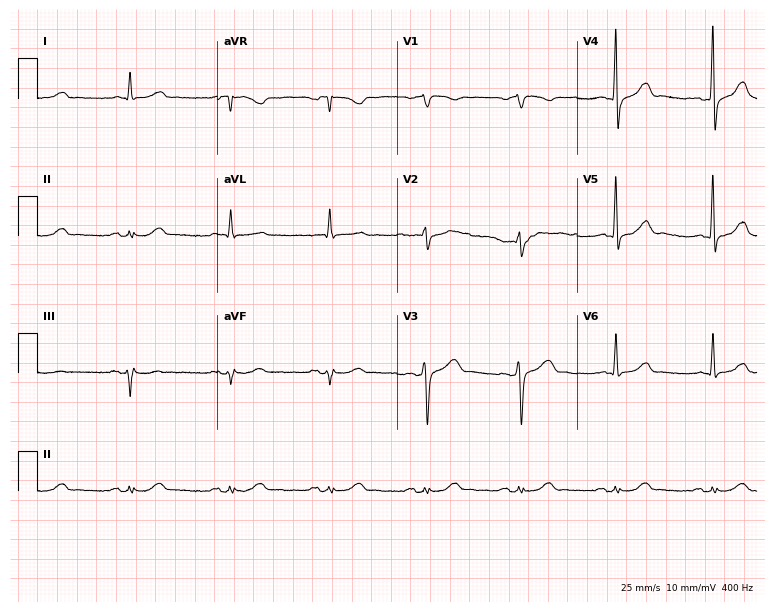
ECG (7.3-second recording at 400 Hz) — a male patient, 81 years old. Screened for six findings — first-degree AV block, right bundle branch block, left bundle branch block, sinus bradycardia, atrial fibrillation, sinus tachycardia — none is recorded.